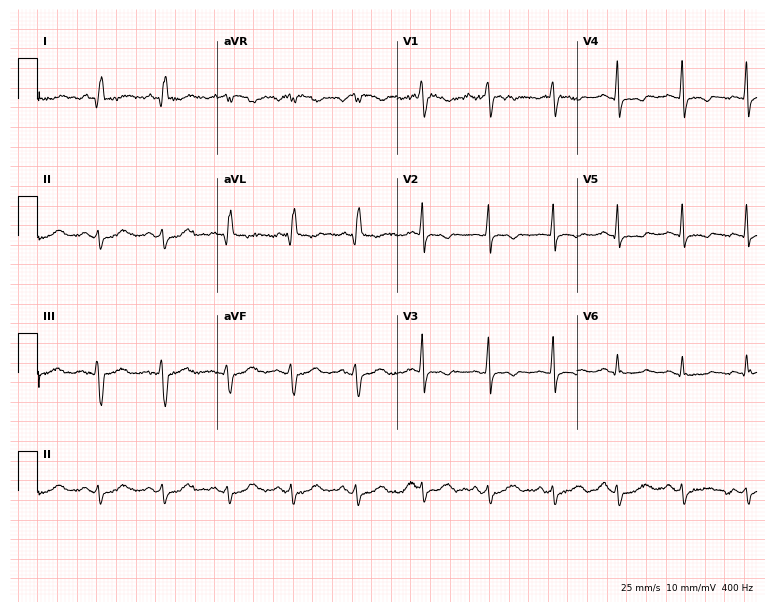
Resting 12-lead electrocardiogram (7.3-second recording at 400 Hz). Patient: a woman, 61 years old. None of these six findings is recorded: first-degree AV block, right bundle branch block, left bundle branch block, sinus bradycardia, atrial fibrillation, sinus tachycardia. Findings outside these six are not listed.